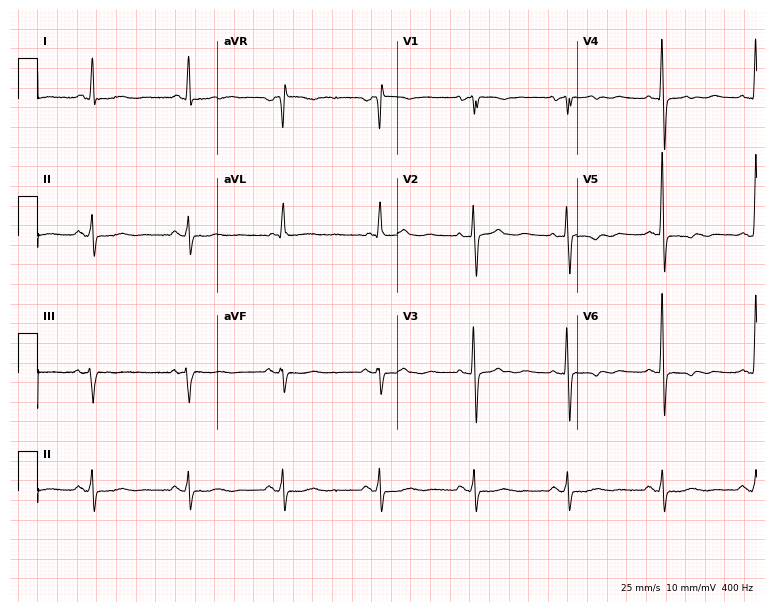
Resting 12-lead electrocardiogram (7.3-second recording at 400 Hz). Patient: a 68-year-old female. None of these six findings is recorded: first-degree AV block, right bundle branch block (RBBB), left bundle branch block (LBBB), sinus bradycardia, atrial fibrillation (AF), sinus tachycardia. Only these six findings were labelled.